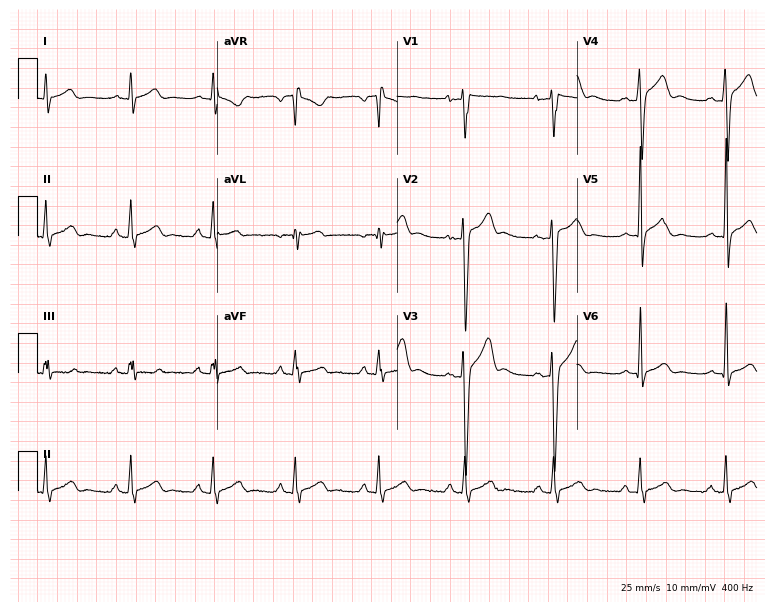
ECG — a male patient, 22 years old. Labelled as a normal ECG.